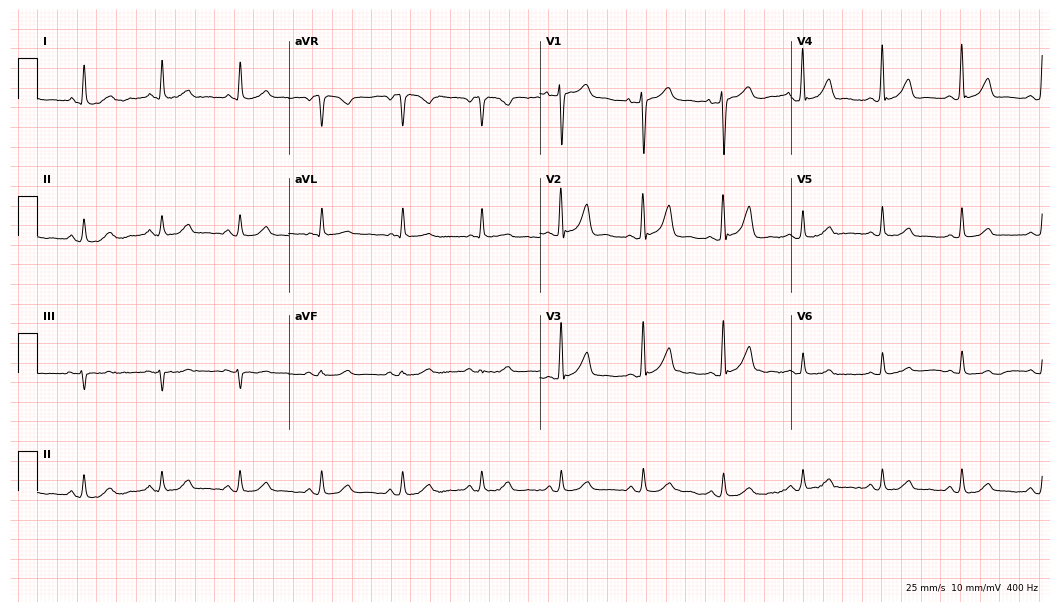
Electrocardiogram (10.2-second recording at 400 Hz), a woman, 72 years old. Overall reading on record: normal ECG.